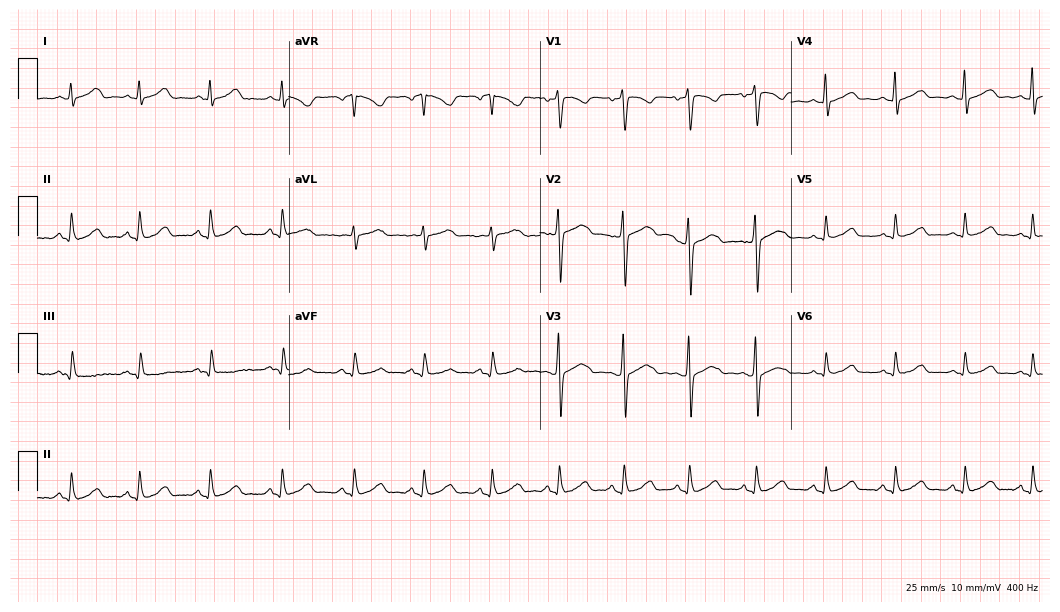
Electrocardiogram (10.2-second recording at 400 Hz), a 32-year-old female patient. Of the six screened findings (first-degree AV block, right bundle branch block (RBBB), left bundle branch block (LBBB), sinus bradycardia, atrial fibrillation (AF), sinus tachycardia), none is recorded. Findings outside these six are not listed.